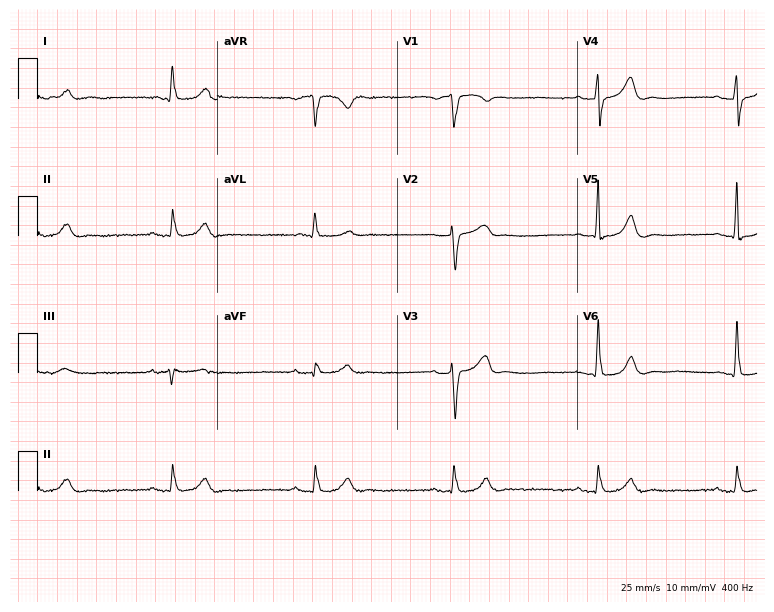
Standard 12-lead ECG recorded from an 85-year-old female patient (7.3-second recording at 400 Hz). The tracing shows sinus bradycardia (a sinus rate of 50 beats per minute or less).